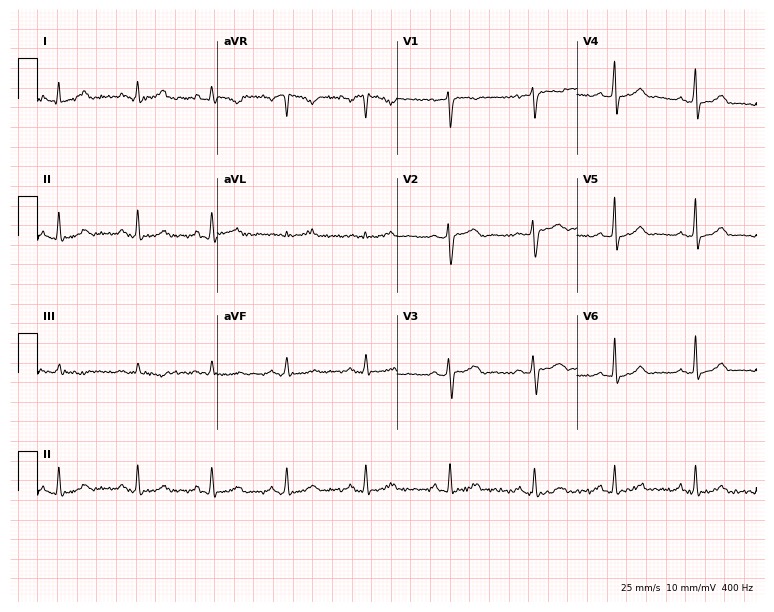
Standard 12-lead ECG recorded from a 34-year-old woman (7.3-second recording at 400 Hz). None of these six findings is recorded: first-degree AV block, right bundle branch block (RBBB), left bundle branch block (LBBB), sinus bradycardia, atrial fibrillation (AF), sinus tachycardia.